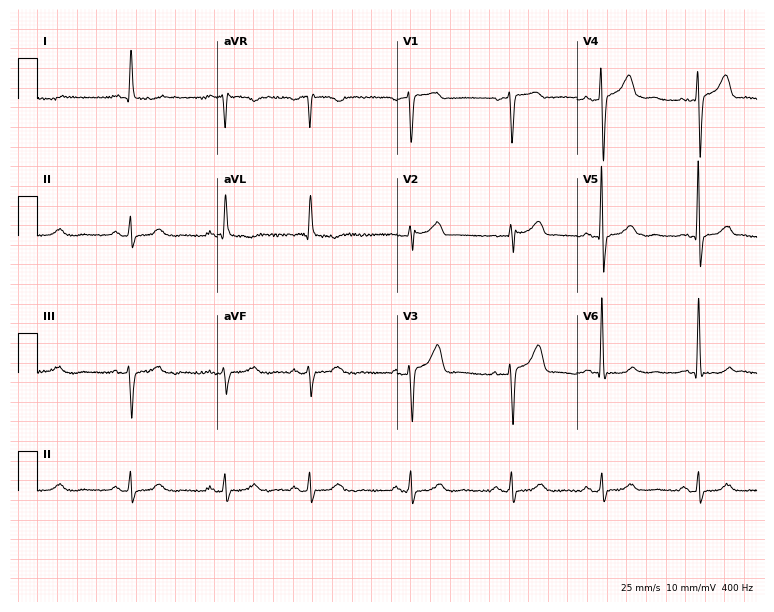
Electrocardiogram, a 59-year-old female patient. Of the six screened findings (first-degree AV block, right bundle branch block, left bundle branch block, sinus bradycardia, atrial fibrillation, sinus tachycardia), none is recorded. Findings outside these six are not listed.